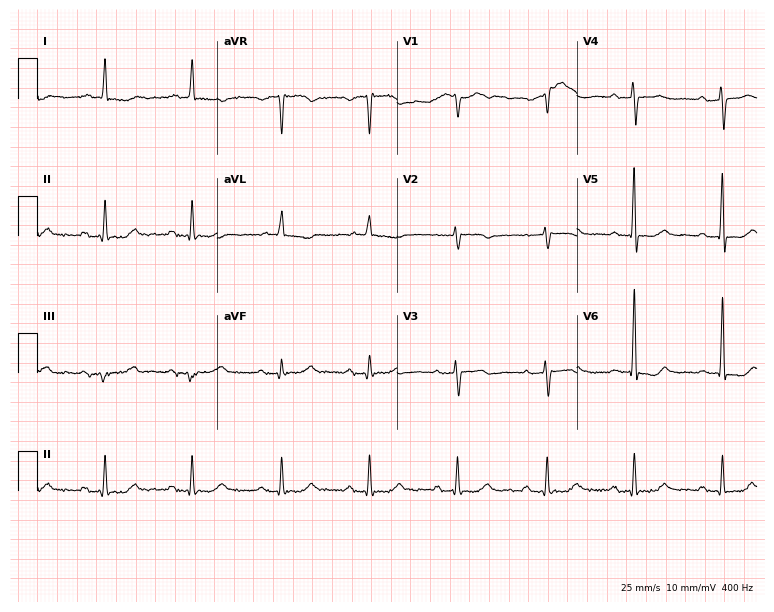
12-lead ECG from a 71-year-old woman. Screened for six findings — first-degree AV block, right bundle branch block, left bundle branch block, sinus bradycardia, atrial fibrillation, sinus tachycardia — none is recorded.